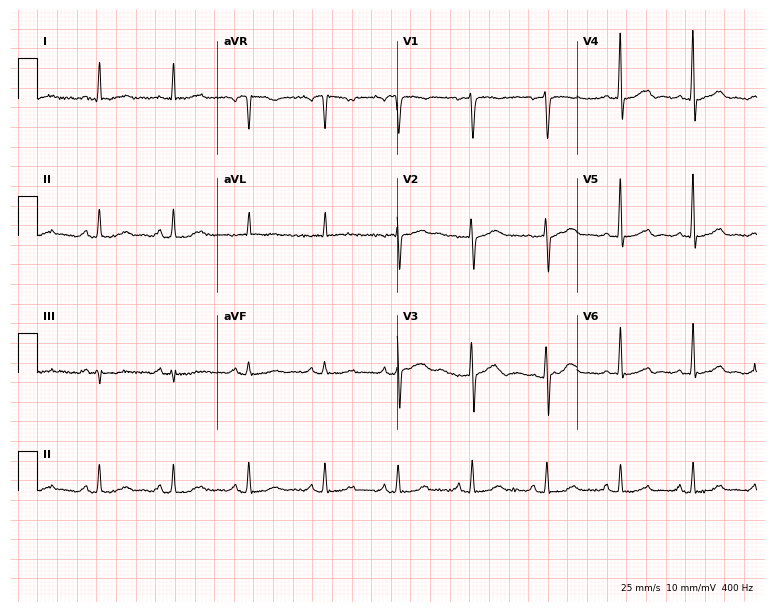
Electrocardiogram, a 60-year-old female. Of the six screened findings (first-degree AV block, right bundle branch block (RBBB), left bundle branch block (LBBB), sinus bradycardia, atrial fibrillation (AF), sinus tachycardia), none is recorded. Findings outside these six are not listed.